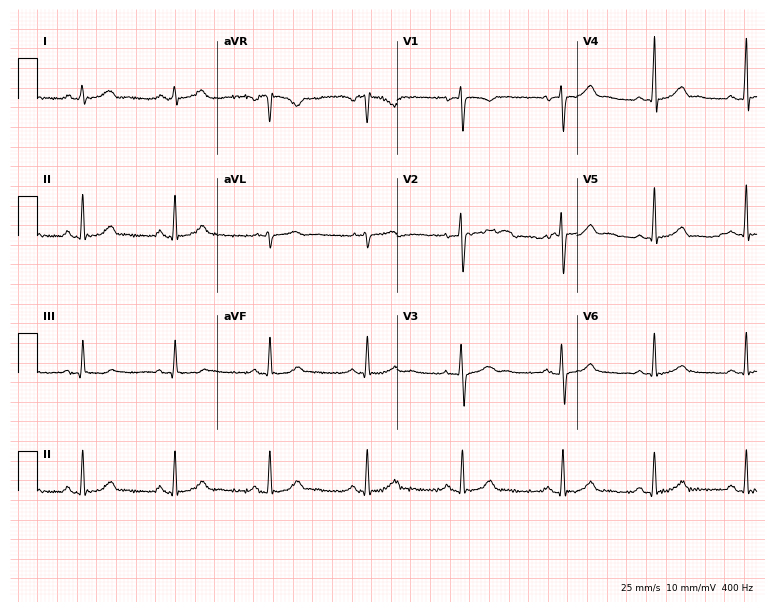
12-lead ECG (7.3-second recording at 400 Hz) from a 39-year-old female patient. Labelled as a normal ECG.